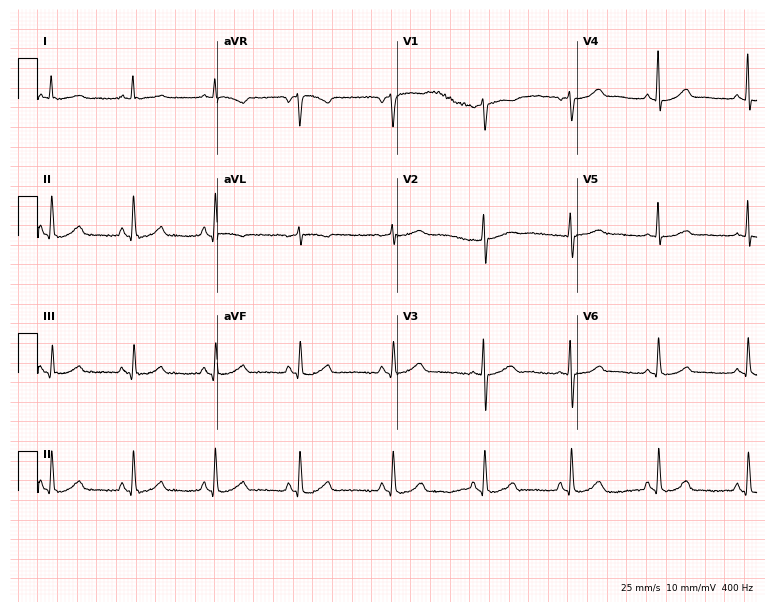
Standard 12-lead ECG recorded from a 63-year-old female patient (7.3-second recording at 400 Hz). Read as a normal ECG.